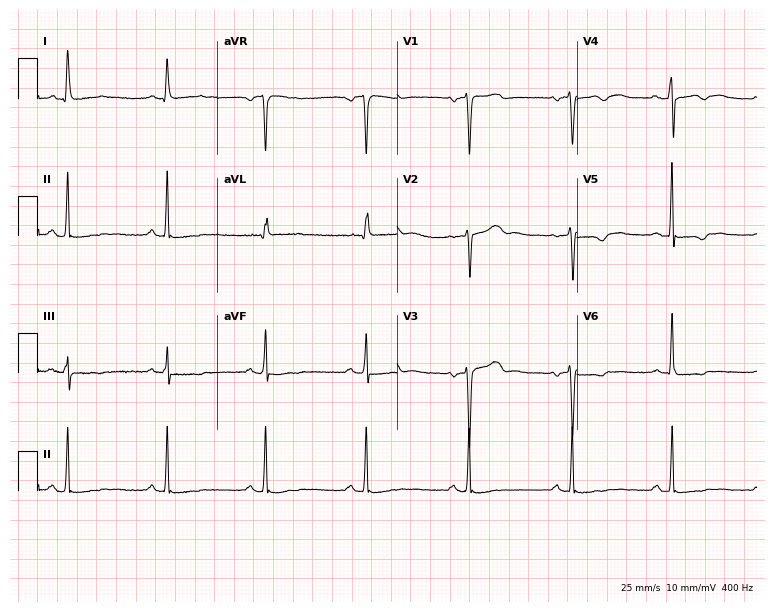
Standard 12-lead ECG recorded from a 54-year-old female patient. None of these six findings is recorded: first-degree AV block, right bundle branch block (RBBB), left bundle branch block (LBBB), sinus bradycardia, atrial fibrillation (AF), sinus tachycardia.